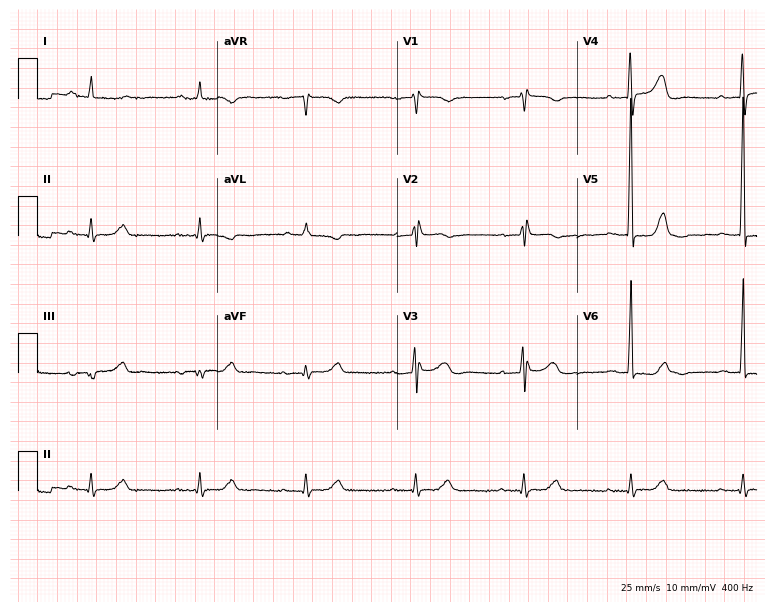
12-lead ECG from a 75-year-old woman. Screened for six findings — first-degree AV block, right bundle branch block (RBBB), left bundle branch block (LBBB), sinus bradycardia, atrial fibrillation (AF), sinus tachycardia — none is recorded. Only these six findings were labelled.